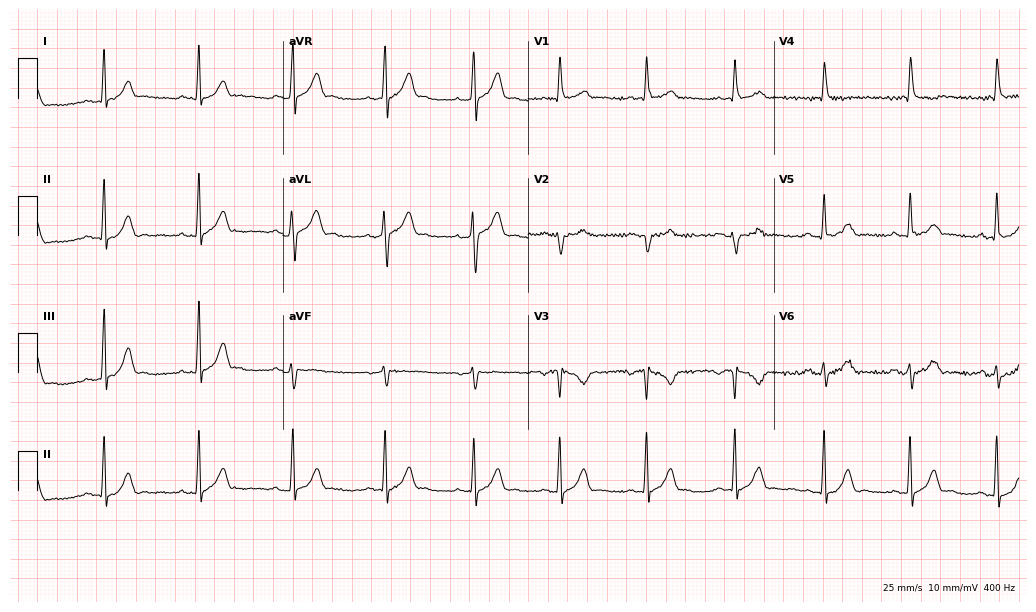
Electrocardiogram, a man, 28 years old. Of the six screened findings (first-degree AV block, right bundle branch block, left bundle branch block, sinus bradycardia, atrial fibrillation, sinus tachycardia), none is recorded. Findings outside these six are not listed.